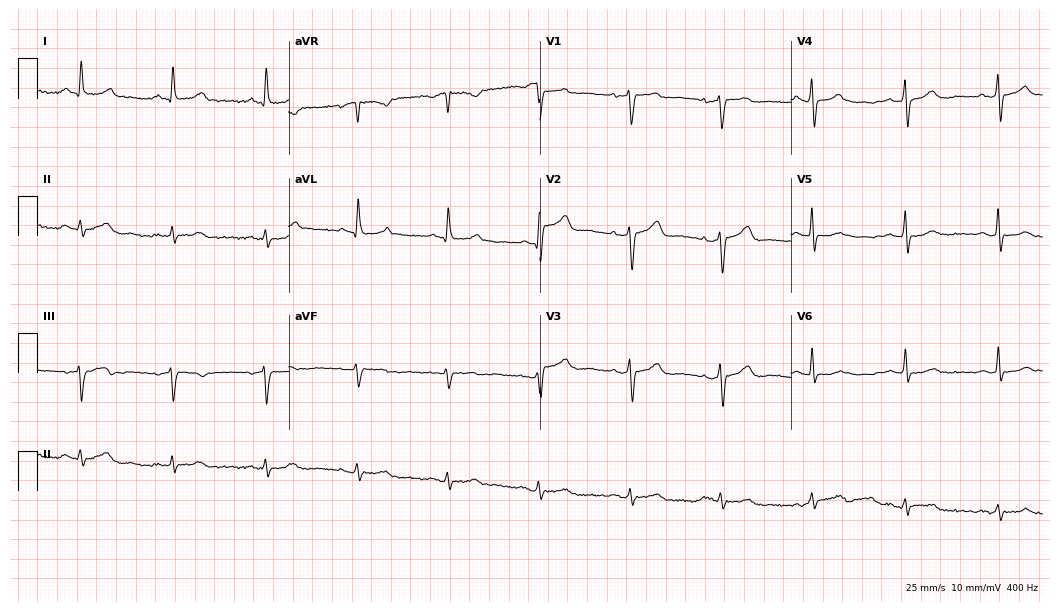
Standard 12-lead ECG recorded from a man, 55 years old (10.2-second recording at 400 Hz). None of these six findings is recorded: first-degree AV block, right bundle branch block, left bundle branch block, sinus bradycardia, atrial fibrillation, sinus tachycardia.